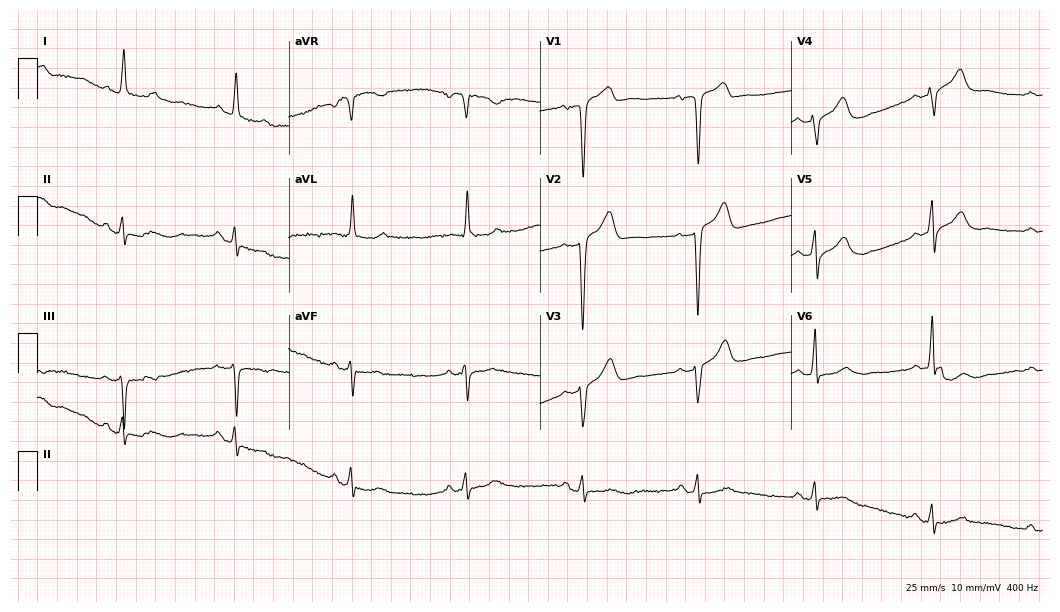
Electrocardiogram, an 83-year-old man. Of the six screened findings (first-degree AV block, right bundle branch block (RBBB), left bundle branch block (LBBB), sinus bradycardia, atrial fibrillation (AF), sinus tachycardia), none is recorded.